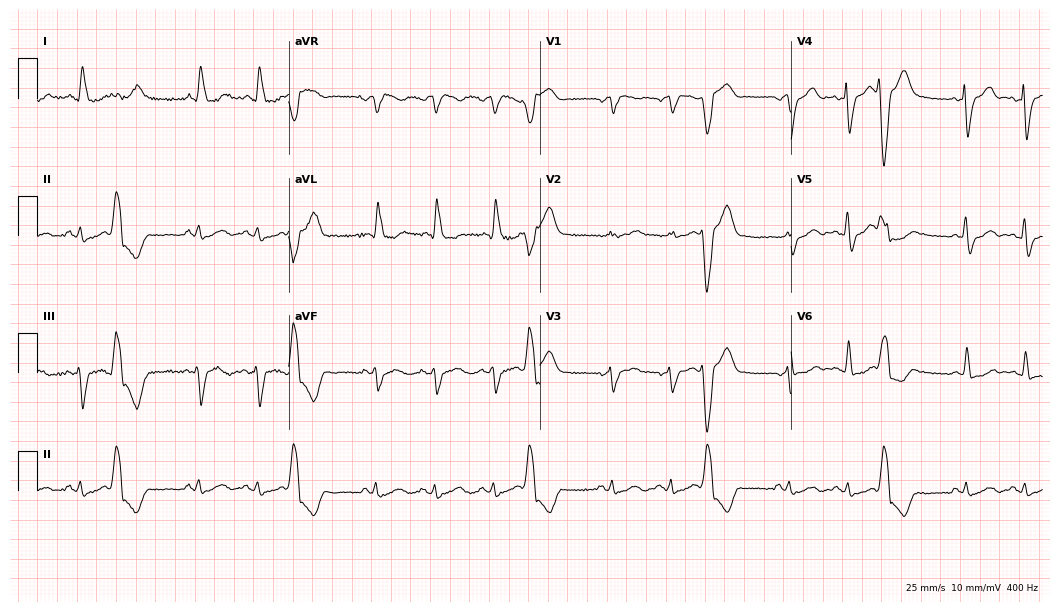
12-lead ECG from a 74-year-old female. Screened for six findings — first-degree AV block, right bundle branch block (RBBB), left bundle branch block (LBBB), sinus bradycardia, atrial fibrillation (AF), sinus tachycardia — none is recorded.